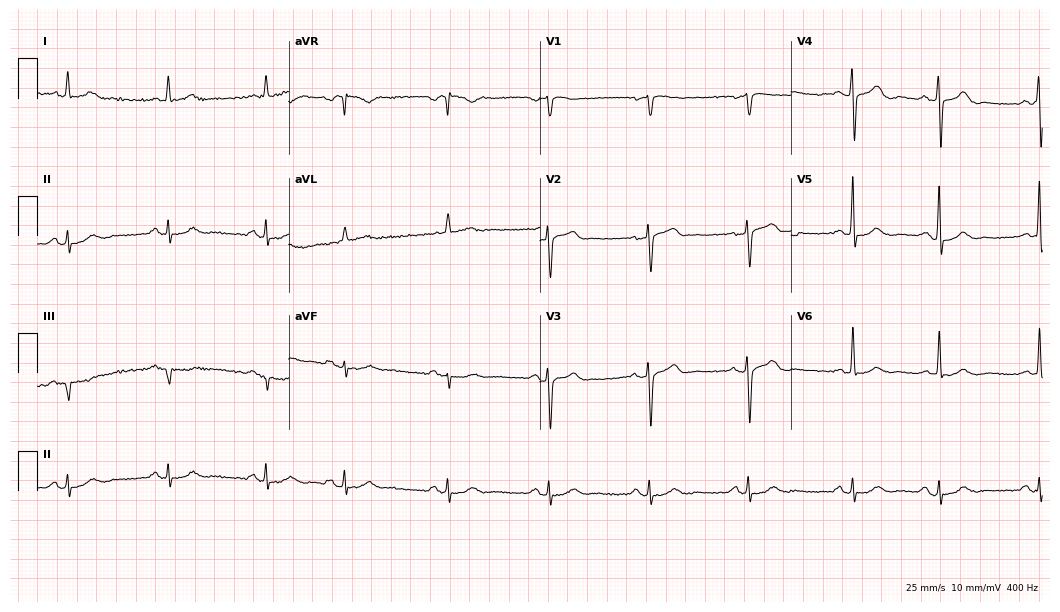
ECG (10.2-second recording at 400 Hz) — a 70-year-old man. Labelled as a normal ECG.